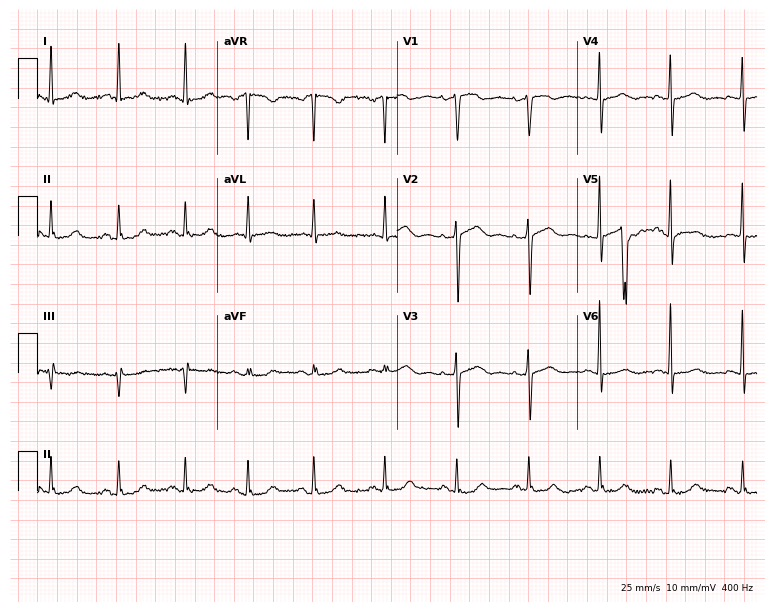
Resting 12-lead electrocardiogram (7.3-second recording at 400 Hz). Patient: a woman, 85 years old. None of these six findings is recorded: first-degree AV block, right bundle branch block, left bundle branch block, sinus bradycardia, atrial fibrillation, sinus tachycardia.